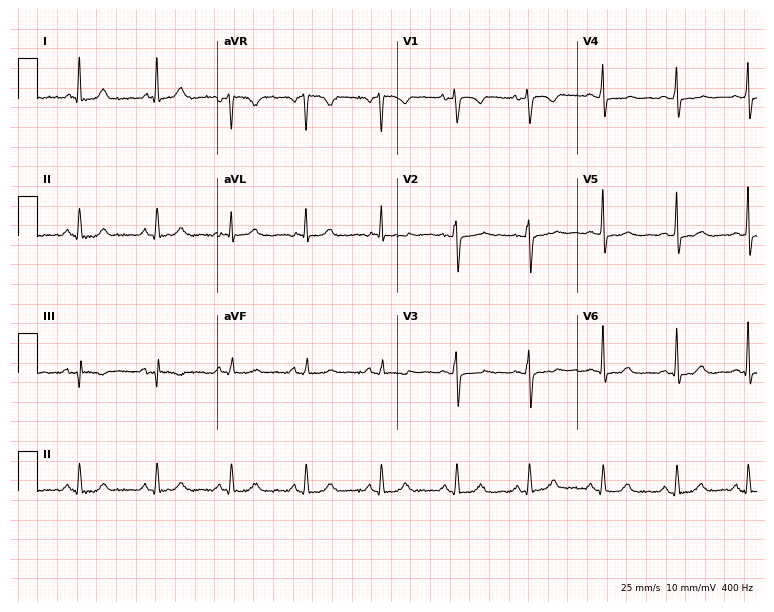
ECG — a 44-year-old female. Screened for six findings — first-degree AV block, right bundle branch block (RBBB), left bundle branch block (LBBB), sinus bradycardia, atrial fibrillation (AF), sinus tachycardia — none is recorded.